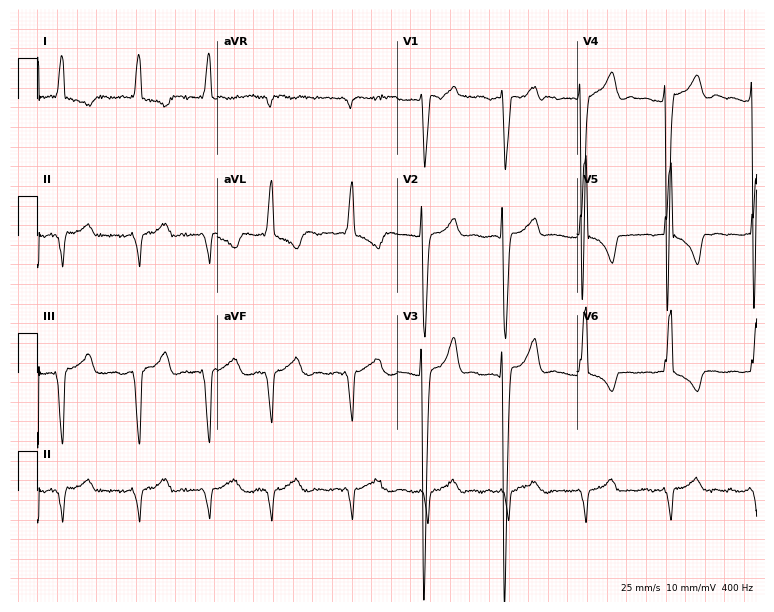
Electrocardiogram, a 71-year-old man. Interpretation includes left bundle branch block, atrial fibrillation.